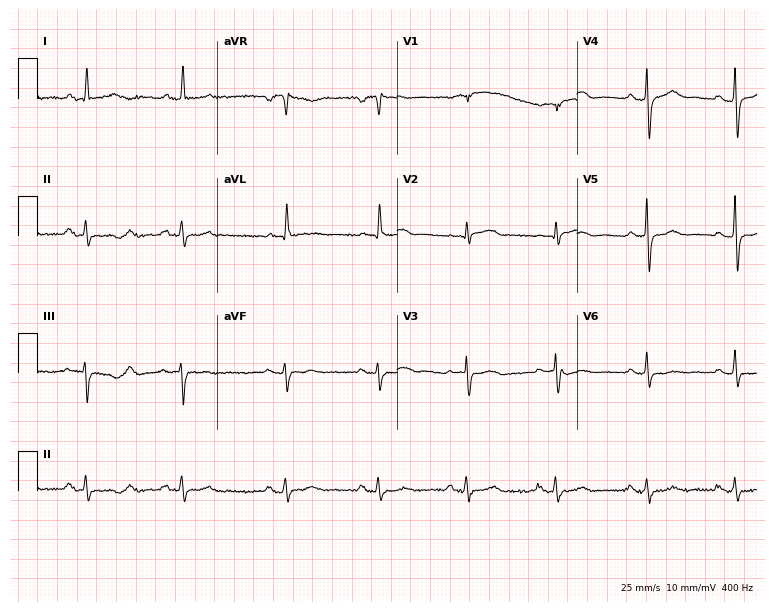
Electrocardiogram (7.3-second recording at 400 Hz), a male, 83 years old. Of the six screened findings (first-degree AV block, right bundle branch block, left bundle branch block, sinus bradycardia, atrial fibrillation, sinus tachycardia), none is recorded. Findings outside these six are not listed.